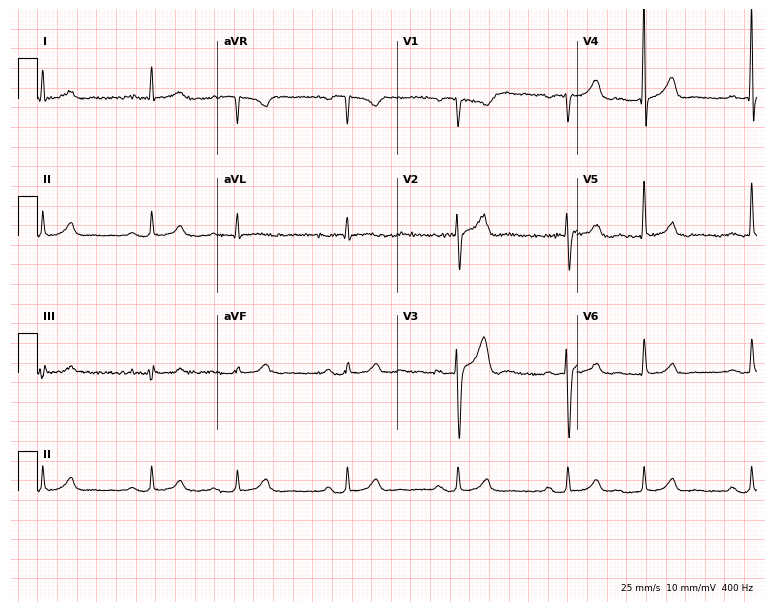
12-lead ECG from a male patient, 73 years old. Labelled as a normal ECG.